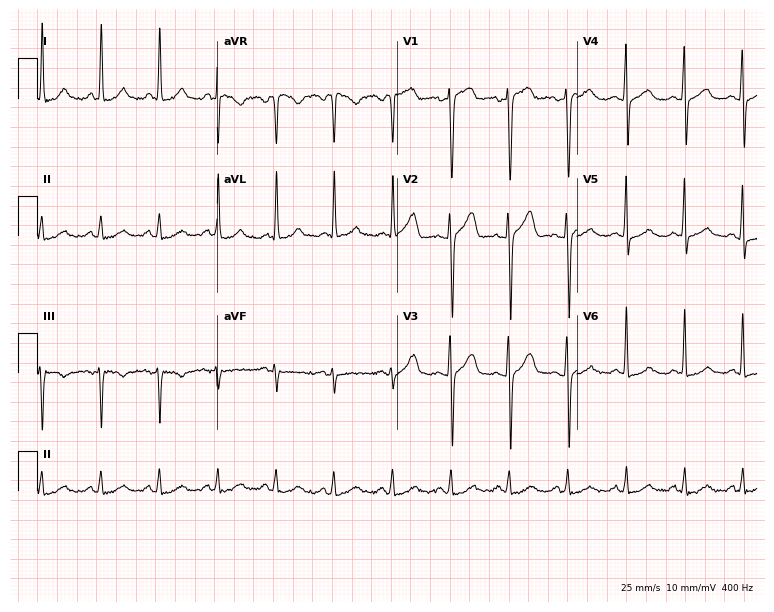
ECG (7.3-second recording at 400 Hz) — a man, 32 years old. Labelled as a normal ECG.